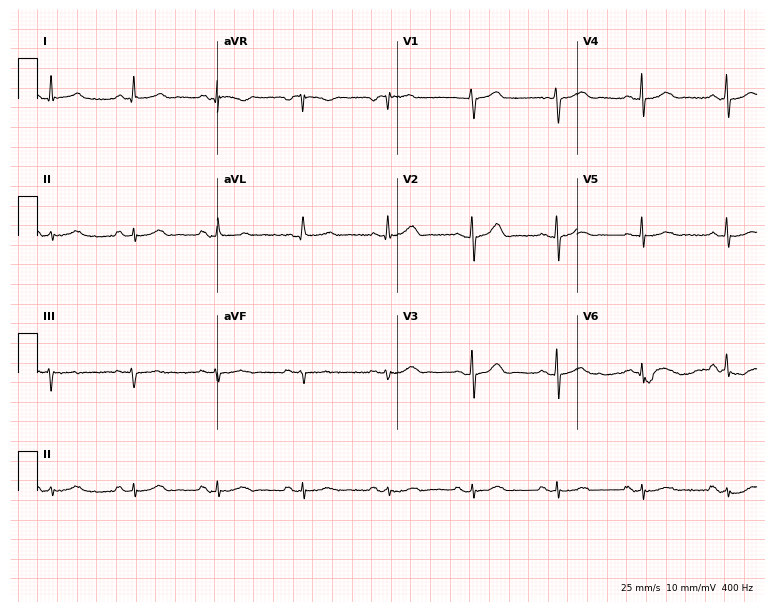
12-lead ECG from a woman, 65 years old (7.3-second recording at 400 Hz). Recorded interpretation: within normal limits.